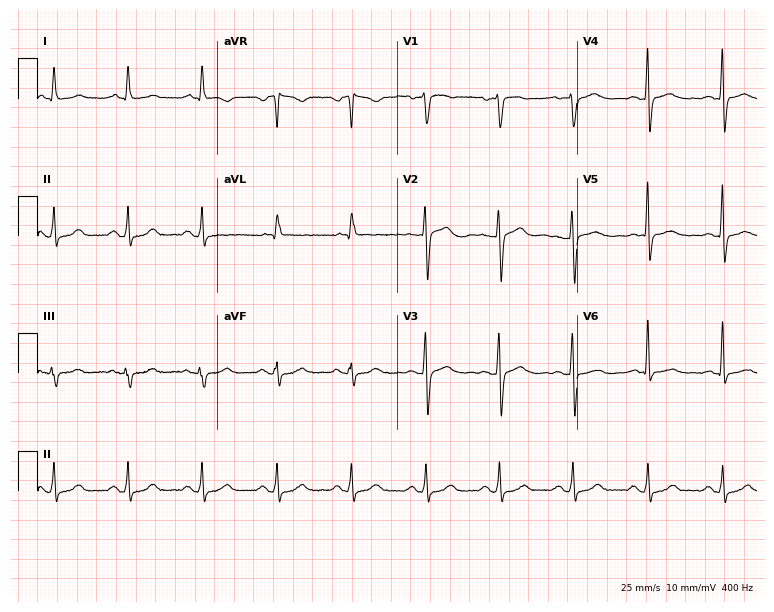
Resting 12-lead electrocardiogram. Patient: a woman, 46 years old. Read as a normal ECG.